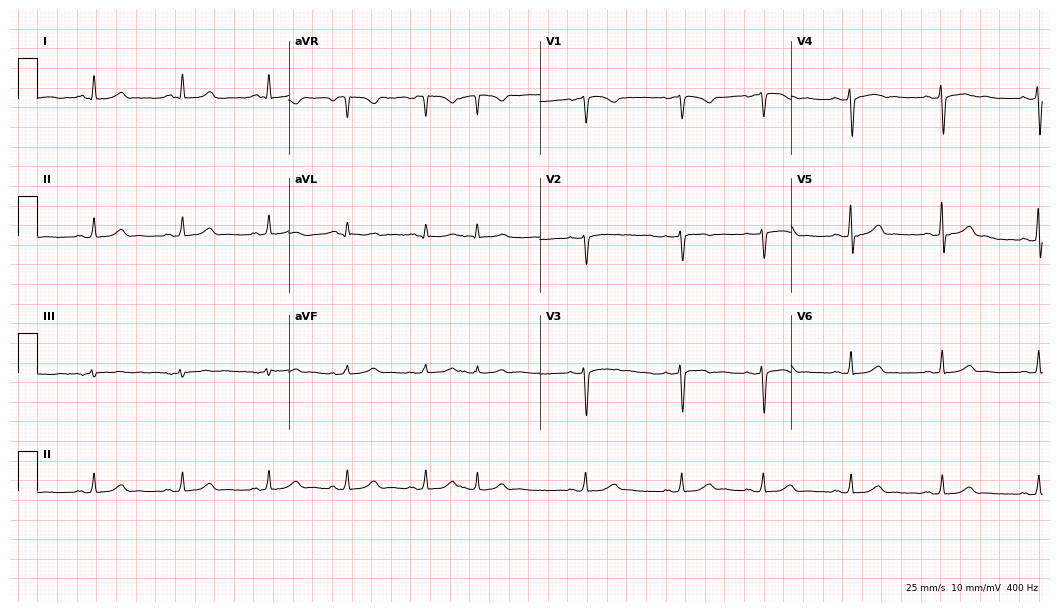
12-lead ECG from a female patient, 33 years old. Screened for six findings — first-degree AV block, right bundle branch block, left bundle branch block, sinus bradycardia, atrial fibrillation, sinus tachycardia — none is recorded. Findings outside these six are not listed.